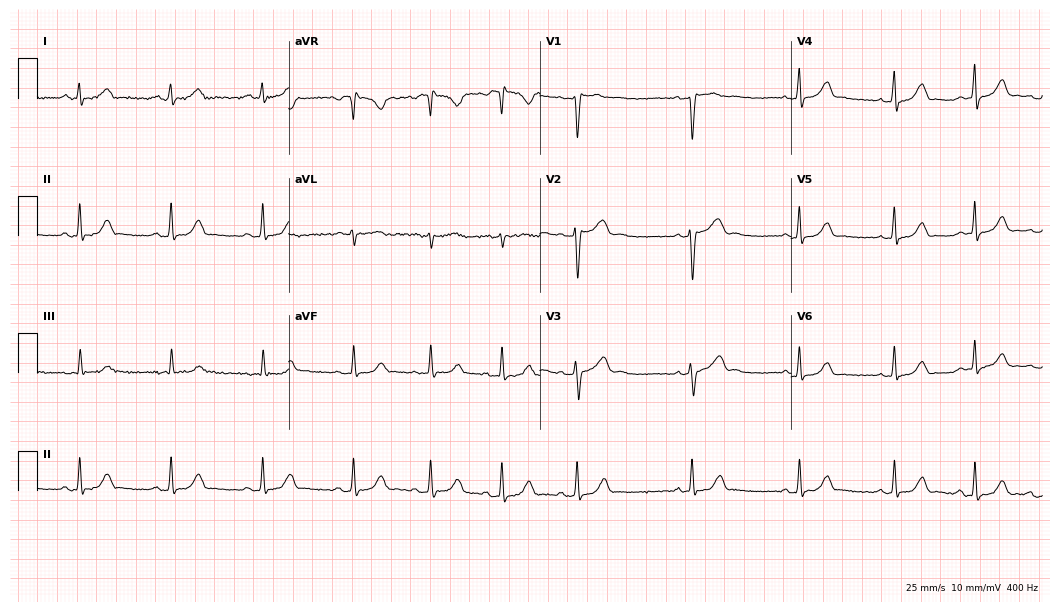
12-lead ECG from a 26-year-old woman (10.2-second recording at 400 Hz). Recorded interpretation: within normal limits.